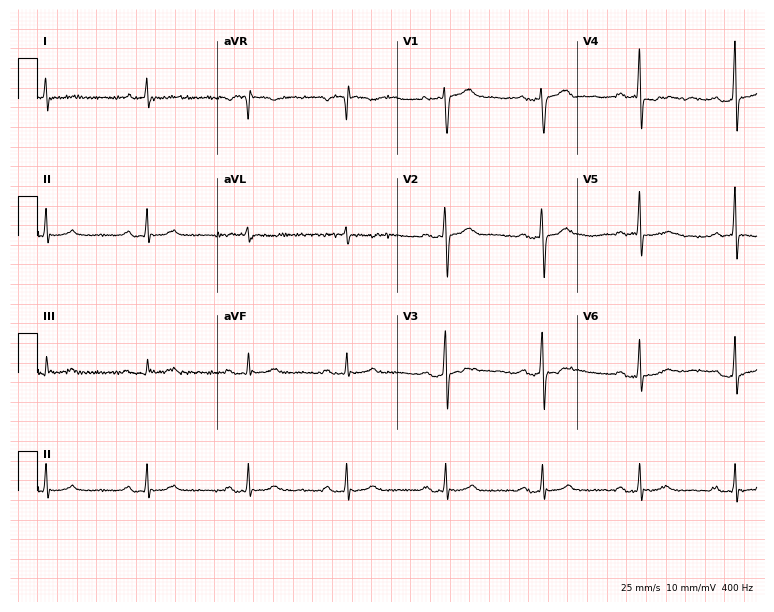
Electrocardiogram, a male, 59 years old. Of the six screened findings (first-degree AV block, right bundle branch block, left bundle branch block, sinus bradycardia, atrial fibrillation, sinus tachycardia), none is recorded.